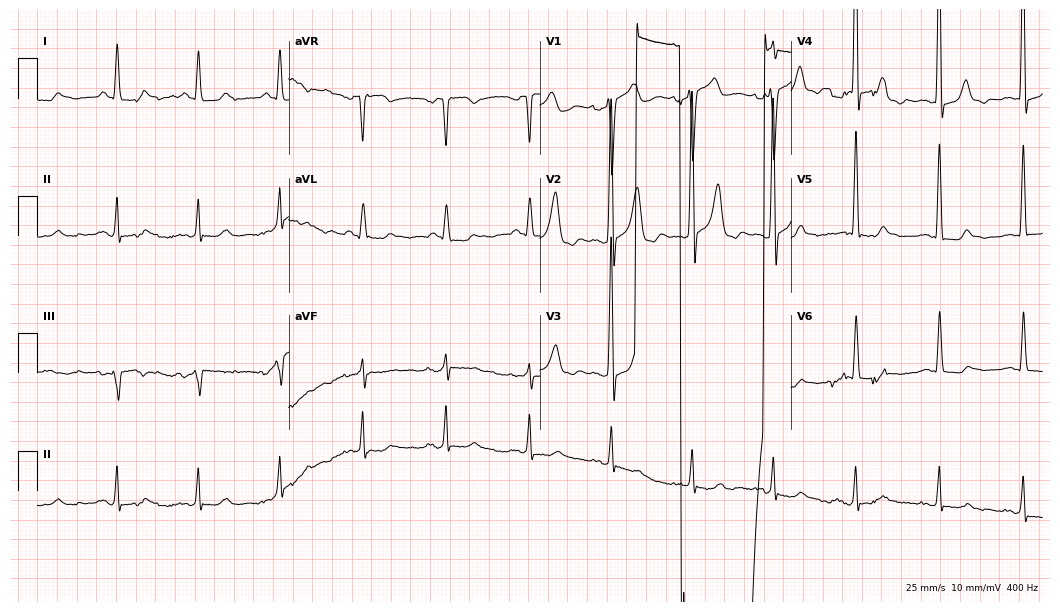
Standard 12-lead ECG recorded from a 58-year-old male patient (10.2-second recording at 400 Hz). None of these six findings is recorded: first-degree AV block, right bundle branch block, left bundle branch block, sinus bradycardia, atrial fibrillation, sinus tachycardia. Findings outside these six are not listed.